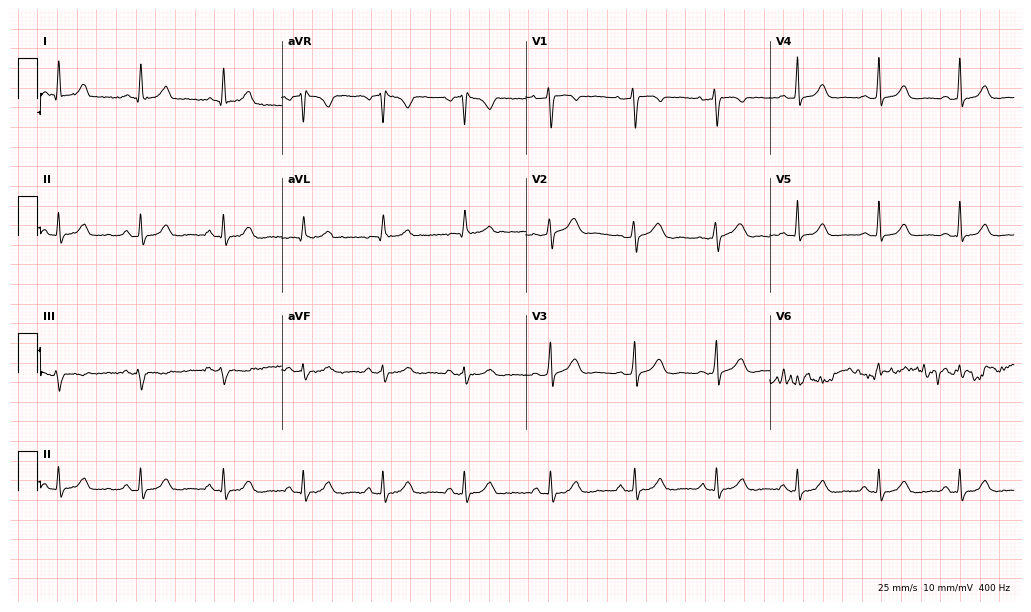
Standard 12-lead ECG recorded from a 41-year-old woman. Read as a normal ECG.